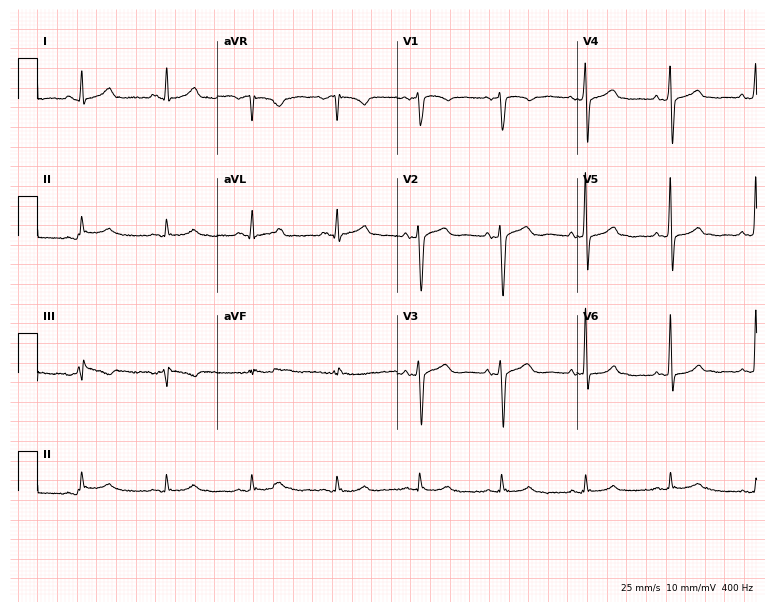
Standard 12-lead ECG recorded from a 40-year-old male patient. Read as a normal ECG.